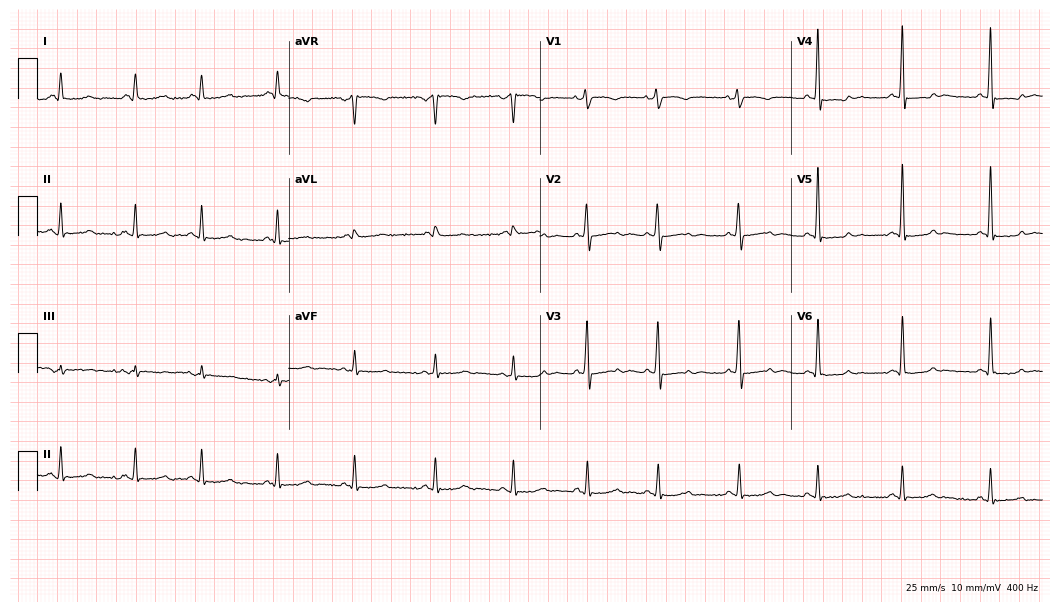
12-lead ECG from a female patient, 68 years old. No first-degree AV block, right bundle branch block, left bundle branch block, sinus bradycardia, atrial fibrillation or sinus tachycardia recorded for this tracing.